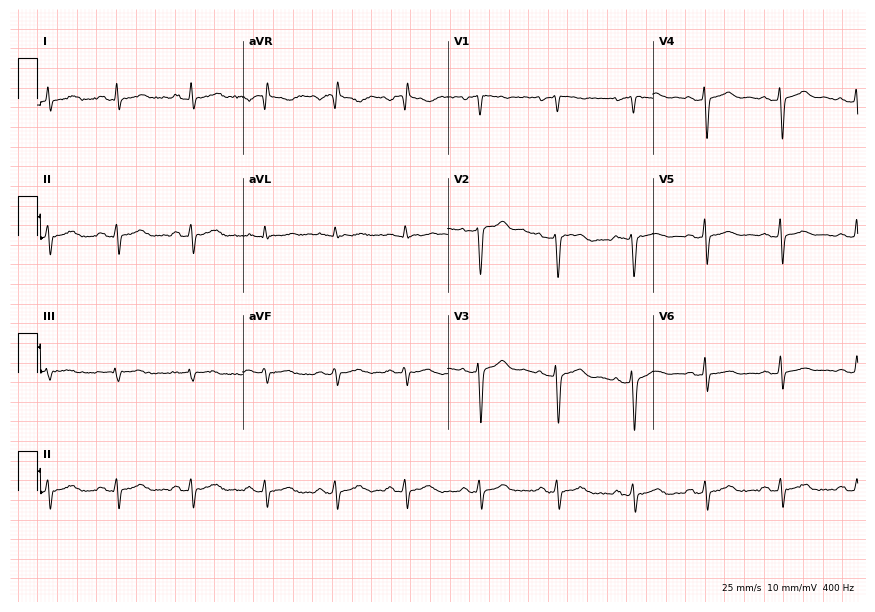
Standard 12-lead ECG recorded from a 34-year-old woman (8.4-second recording at 400 Hz). None of these six findings is recorded: first-degree AV block, right bundle branch block (RBBB), left bundle branch block (LBBB), sinus bradycardia, atrial fibrillation (AF), sinus tachycardia.